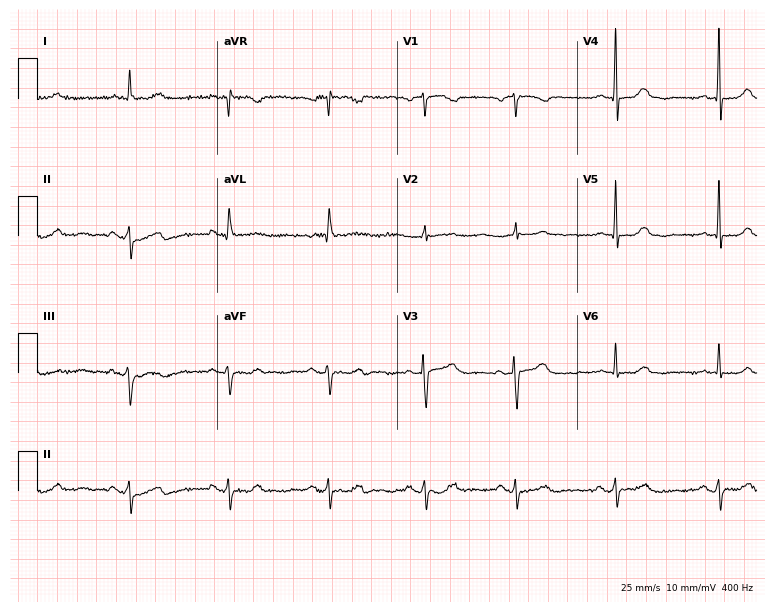
12-lead ECG from a female, 84 years old. Recorded interpretation: within normal limits.